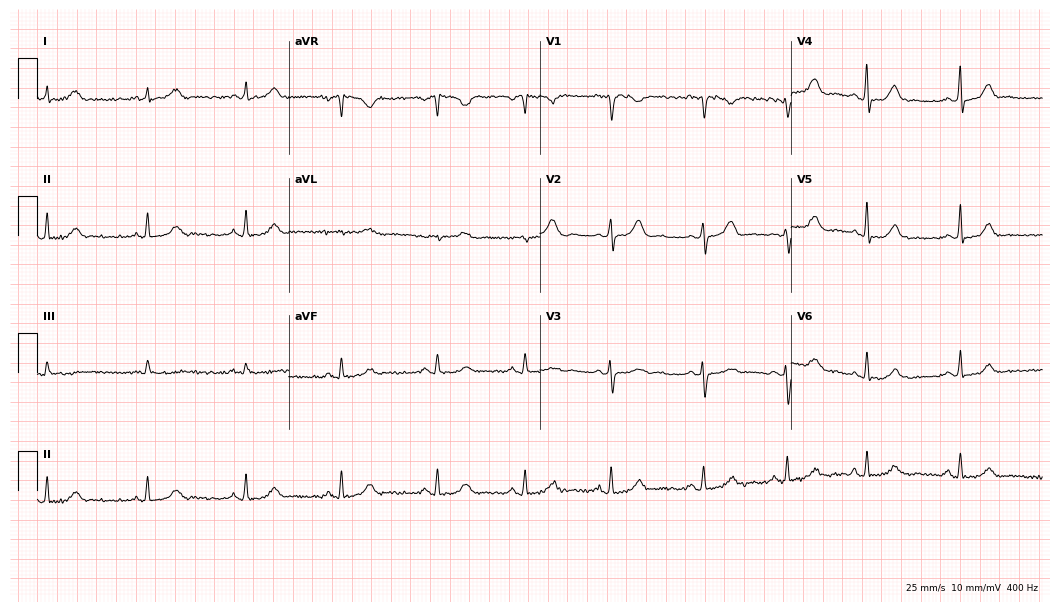
Standard 12-lead ECG recorded from a 46-year-old female patient. Read as a normal ECG.